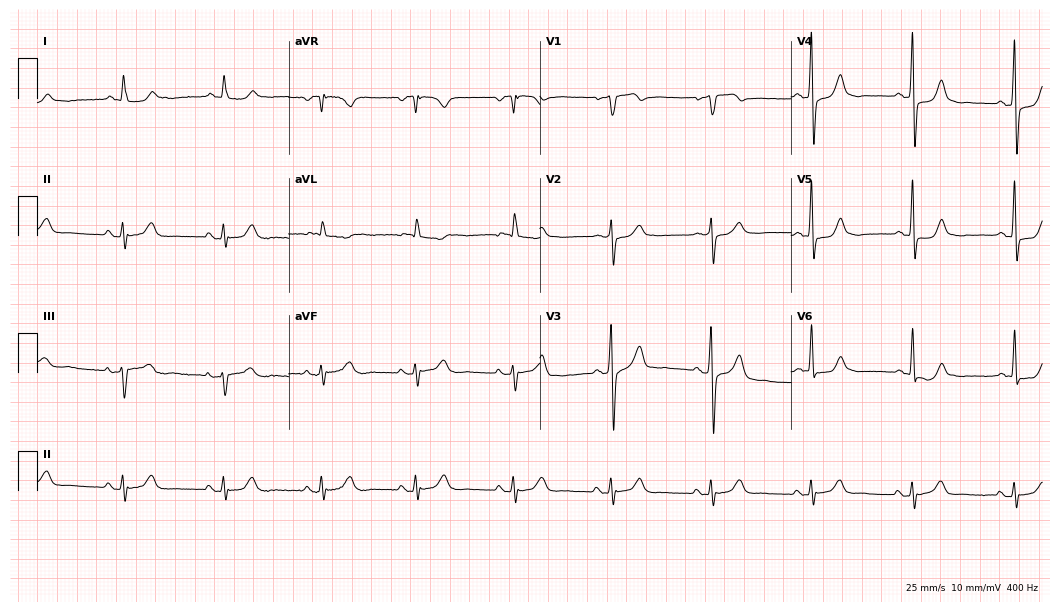
Resting 12-lead electrocardiogram. Patient: a male, 67 years old. None of these six findings is recorded: first-degree AV block, right bundle branch block, left bundle branch block, sinus bradycardia, atrial fibrillation, sinus tachycardia. Only these six findings were labelled.